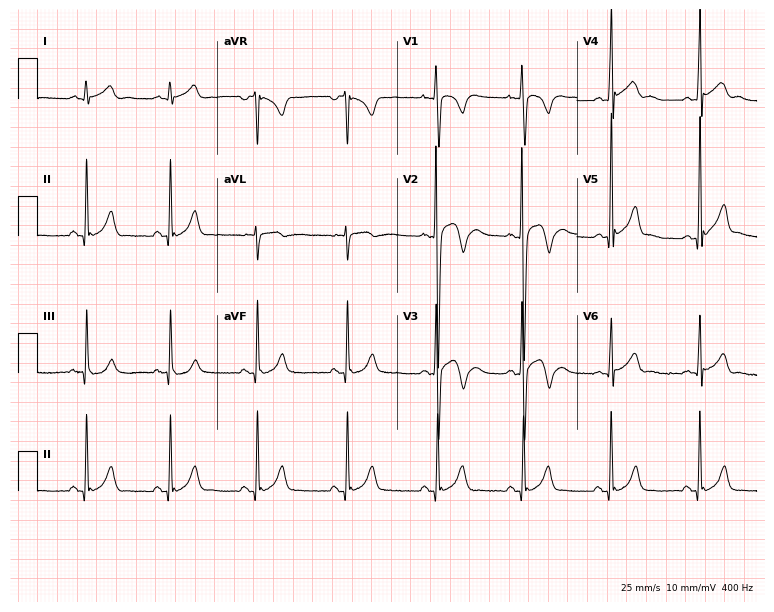
Electrocardiogram (7.3-second recording at 400 Hz), a 22-year-old man. Overall reading on record: normal ECG.